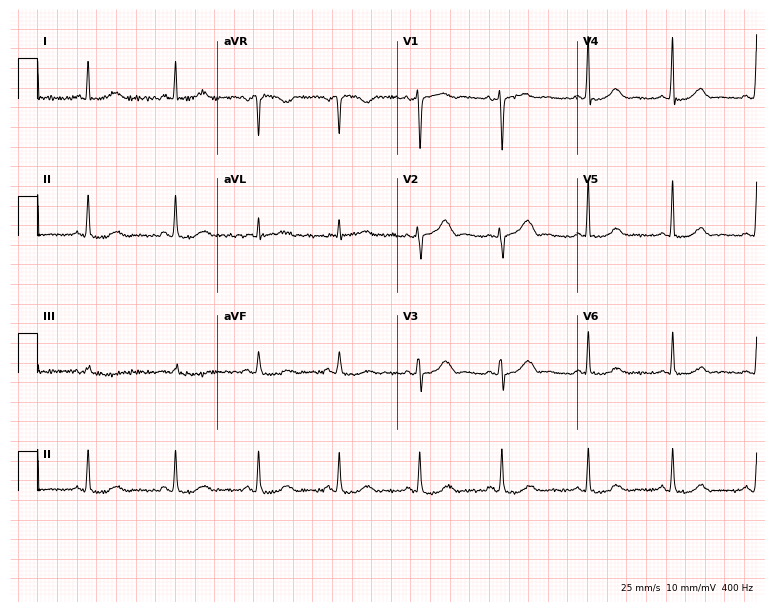
12-lead ECG from a 52-year-old female. Recorded interpretation: within normal limits.